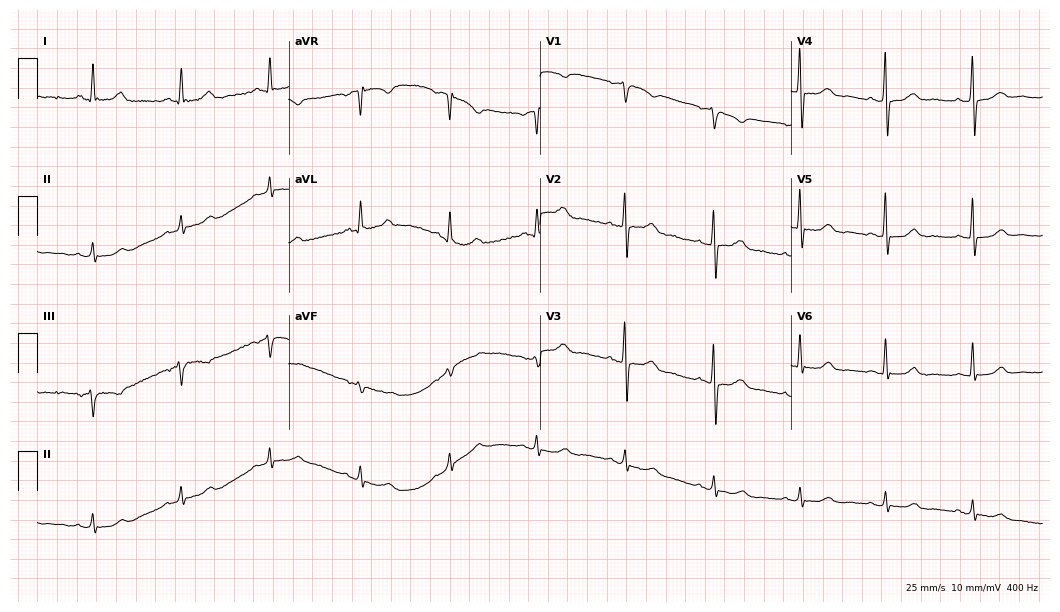
Standard 12-lead ECG recorded from a 60-year-old woman (10.2-second recording at 400 Hz). Read as a normal ECG.